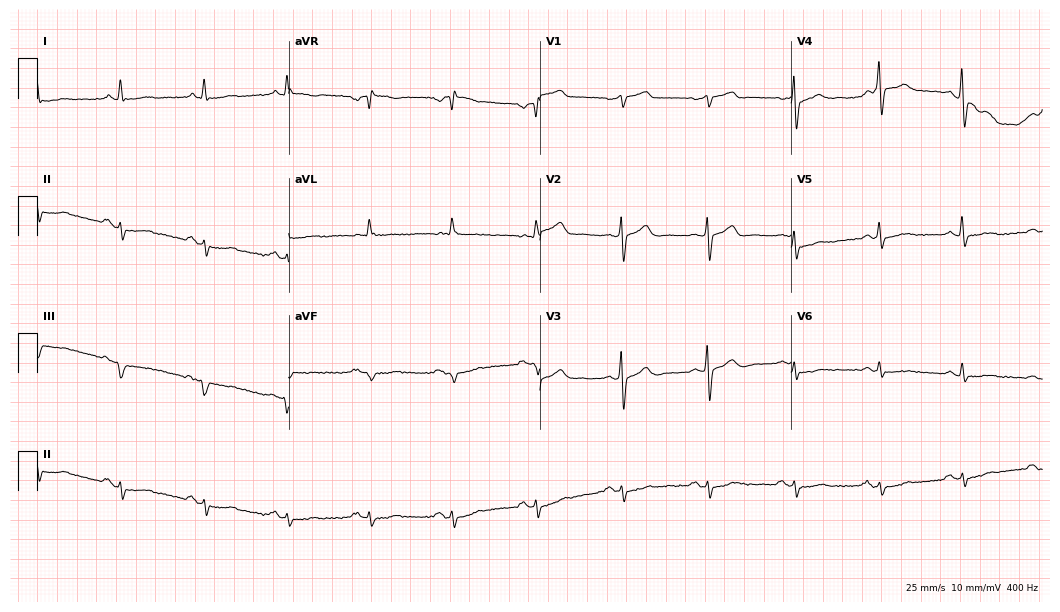
Electrocardiogram, a male patient, 80 years old. Of the six screened findings (first-degree AV block, right bundle branch block, left bundle branch block, sinus bradycardia, atrial fibrillation, sinus tachycardia), none is recorded.